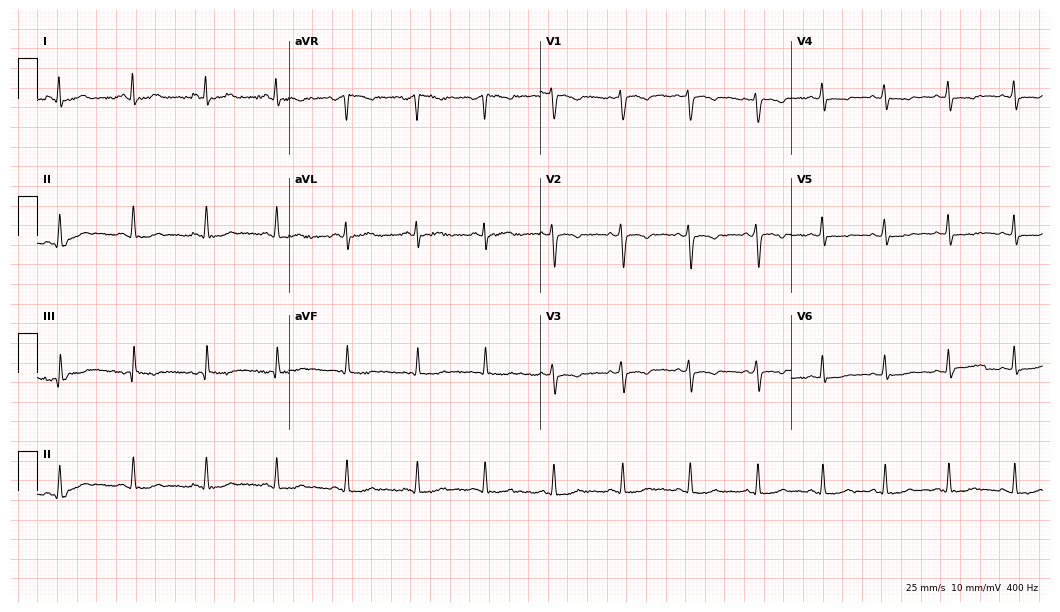
12-lead ECG (10.2-second recording at 400 Hz) from a woman, 32 years old. Screened for six findings — first-degree AV block, right bundle branch block (RBBB), left bundle branch block (LBBB), sinus bradycardia, atrial fibrillation (AF), sinus tachycardia — none is recorded. Findings outside these six are not listed.